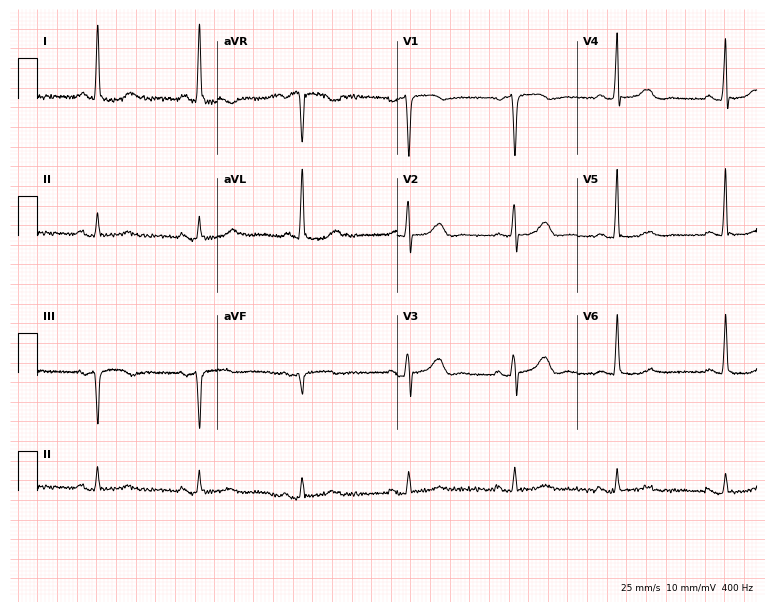
12-lead ECG from a female patient, 65 years old (7.3-second recording at 400 Hz). No first-degree AV block, right bundle branch block, left bundle branch block, sinus bradycardia, atrial fibrillation or sinus tachycardia recorded for this tracing. Findings outside these six are not listed.